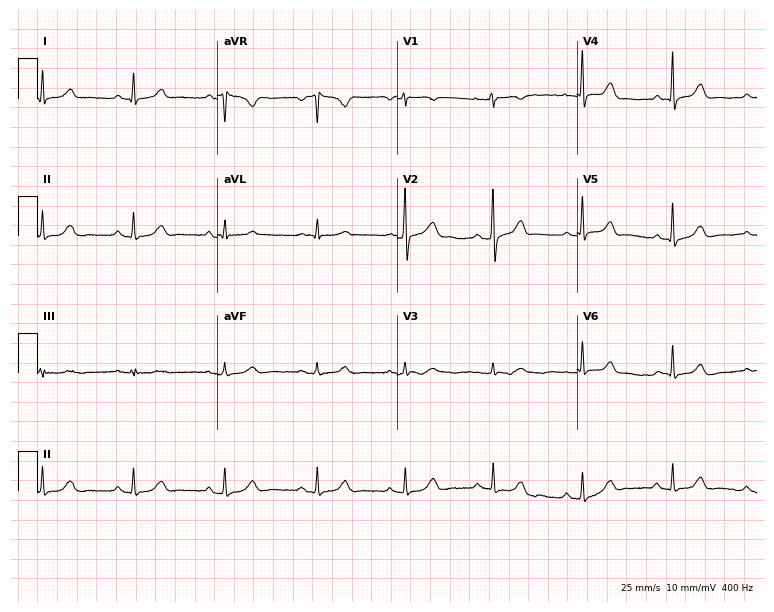
12-lead ECG (7.3-second recording at 400 Hz) from a female patient, 46 years old. Labelled as a normal ECG.